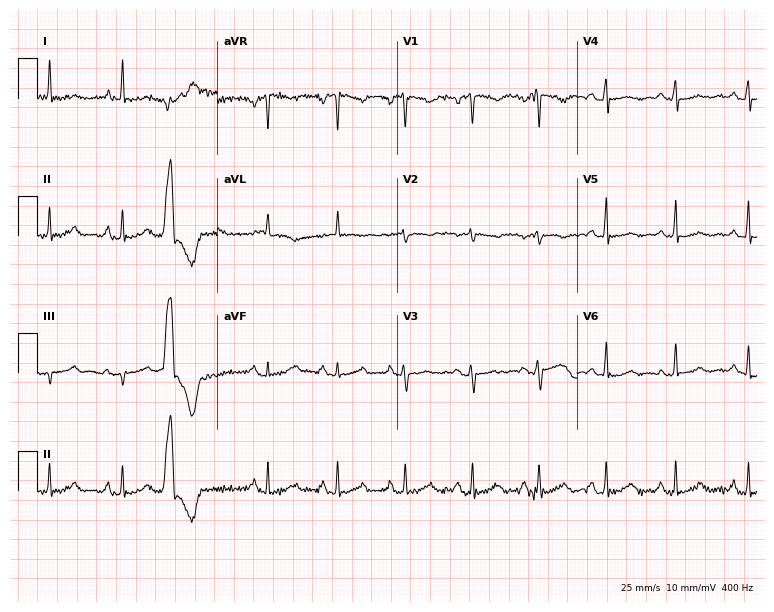
ECG — a female, 44 years old. Screened for six findings — first-degree AV block, right bundle branch block (RBBB), left bundle branch block (LBBB), sinus bradycardia, atrial fibrillation (AF), sinus tachycardia — none is recorded. Other findings, if any, are not listed.